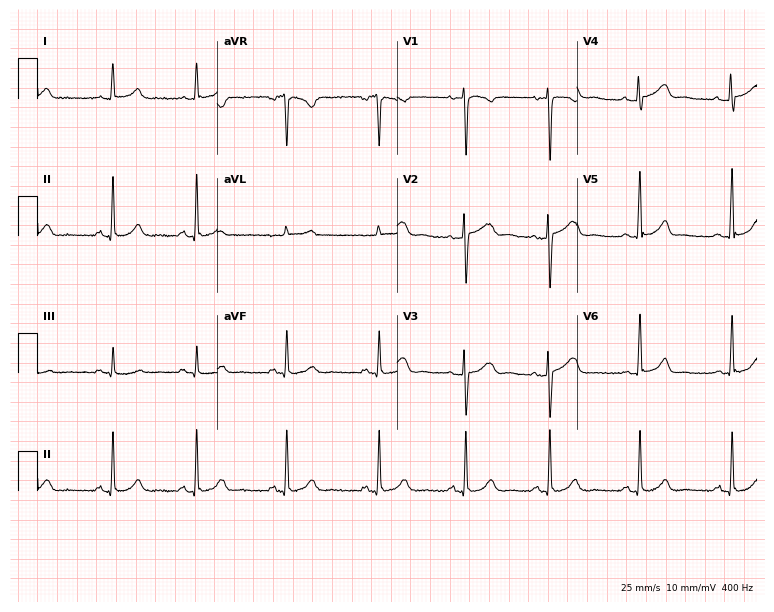
12-lead ECG from a woman, 36 years old. Labelled as a normal ECG.